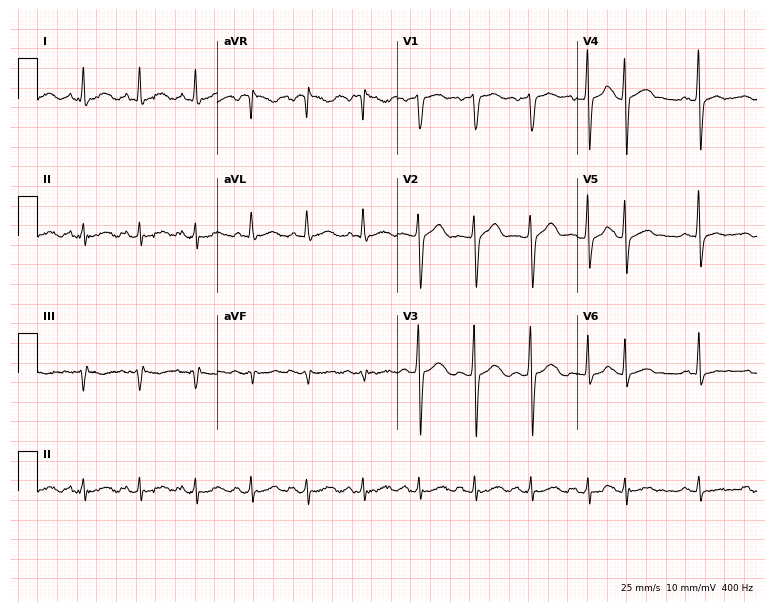
12-lead ECG from a 52-year-old man (7.3-second recording at 400 Hz). No first-degree AV block, right bundle branch block (RBBB), left bundle branch block (LBBB), sinus bradycardia, atrial fibrillation (AF) or sinus tachycardia recorded for this tracing.